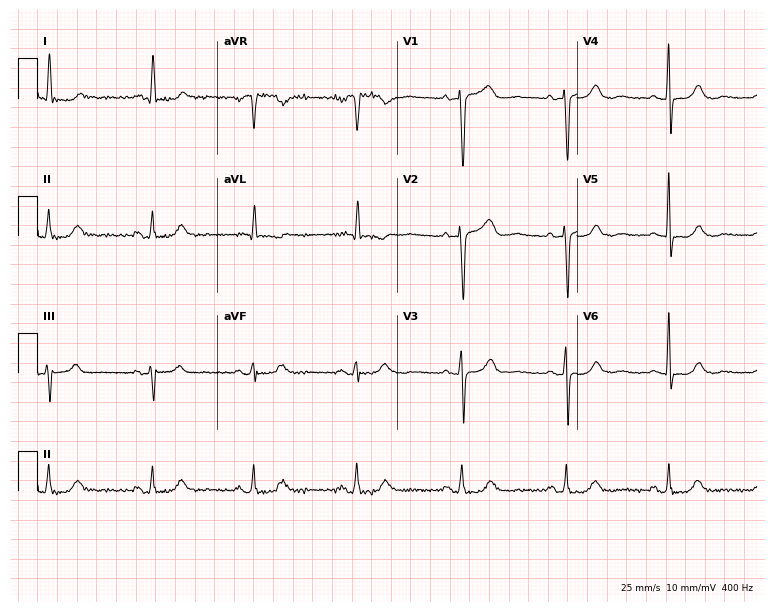
Electrocardiogram, a female, 72 years old. Of the six screened findings (first-degree AV block, right bundle branch block (RBBB), left bundle branch block (LBBB), sinus bradycardia, atrial fibrillation (AF), sinus tachycardia), none is recorded. Other findings, if any, are not listed.